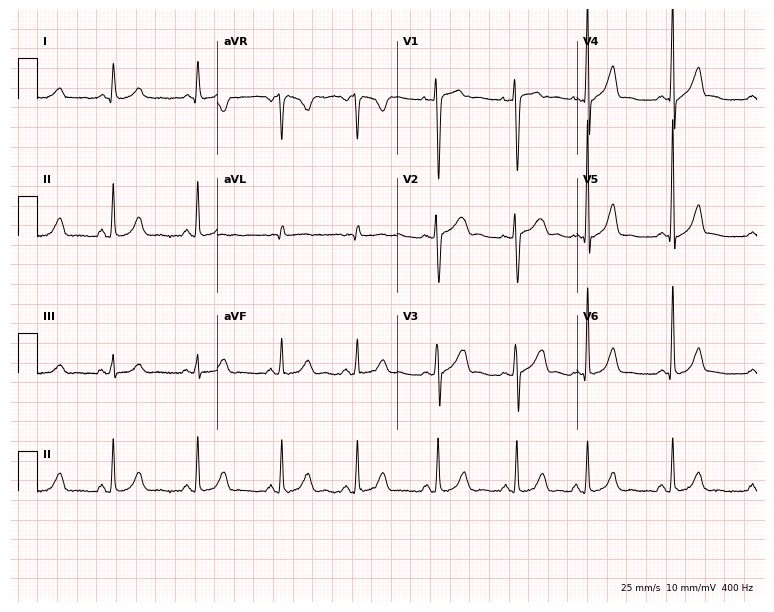
Electrocardiogram (7.3-second recording at 400 Hz), a female, 28 years old. Overall reading on record: normal ECG.